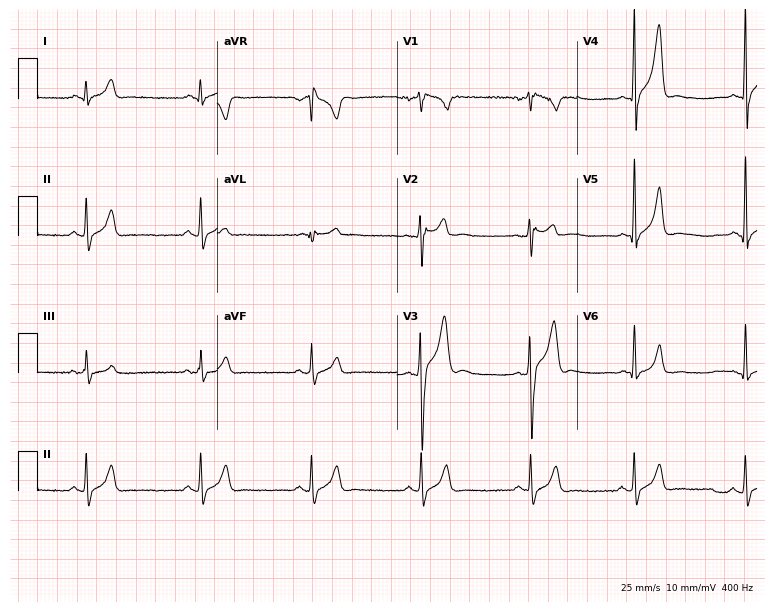
ECG — a male patient, 23 years old. Screened for six findings — first-degree AV block, right bundle branch block (RBBB), left bundle branch block (LBBB), sinus bradycardia, atrial fibrillation (AF), sinus tachycardia — none is recorded. Findings outside these six are not listed.